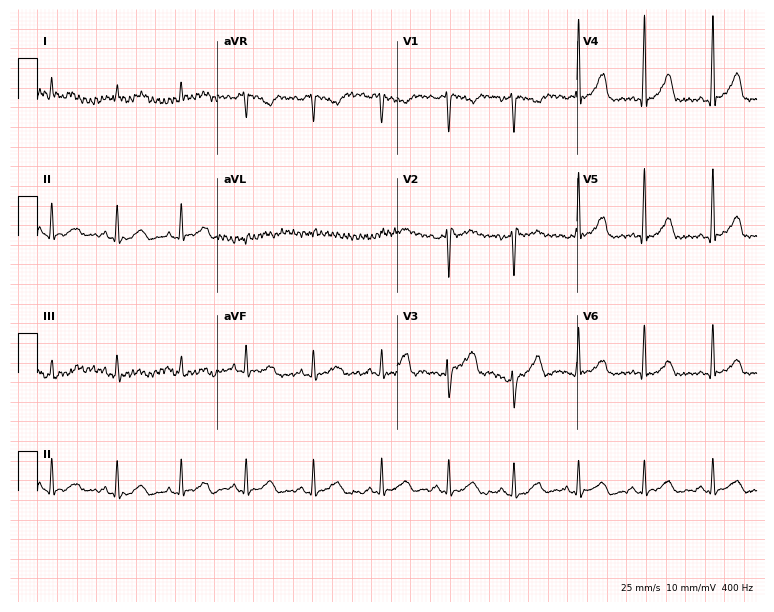
12-lead ECG from a male, 33 years old. Screened for six findings — first-degree AV block, right bundle branch block, left bundle branch block, sinus bradycardia, atrial fibrillation, sinus tachycardia — none is recorded.